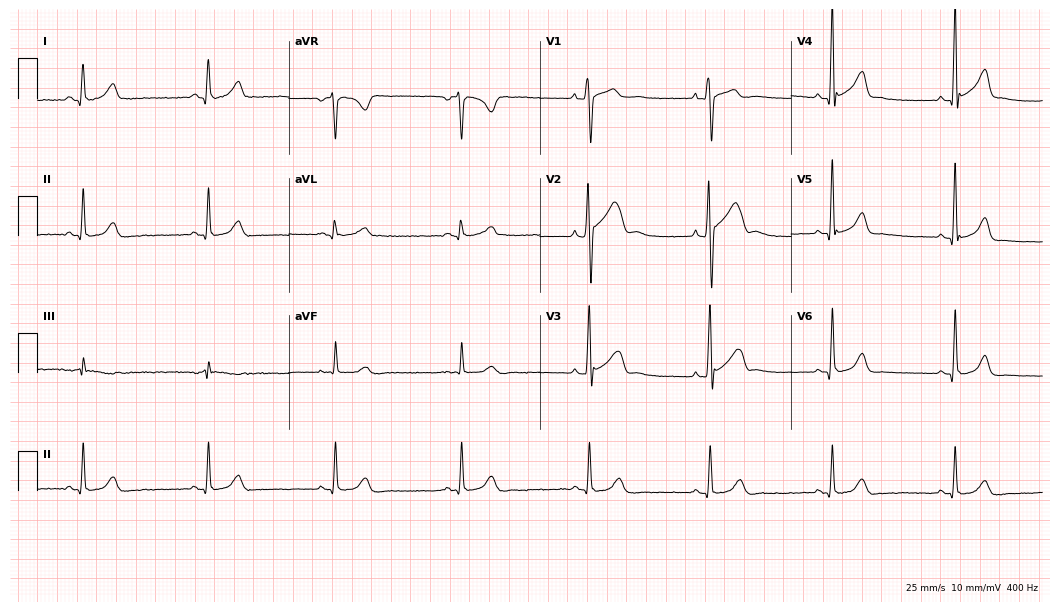
12-lead ECG from a man, 29 years old. Findings include sinus bradycardia (a sinus rate of 50 beats per minute or less).